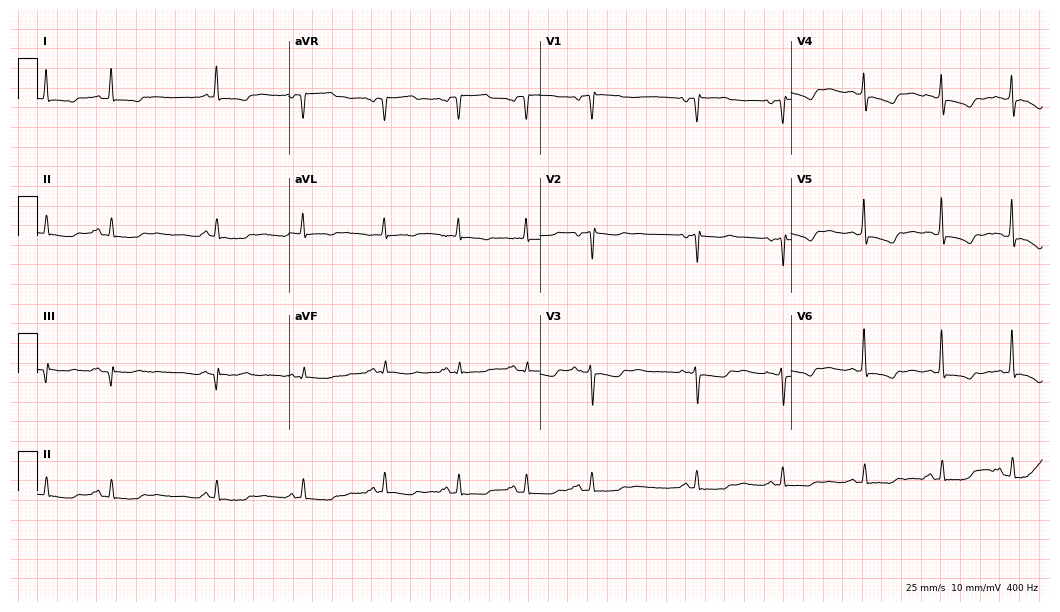
ECG (10.2-second recording at 400 Hz) — a 76-year-old female. Screened for six findings — first-degree AV block, right bundle branch block, left bundle branch block, sinus bradycardia, atrial fibrillation, sinus tachycardia — none is recorded. Other findings, if any, are not listed.